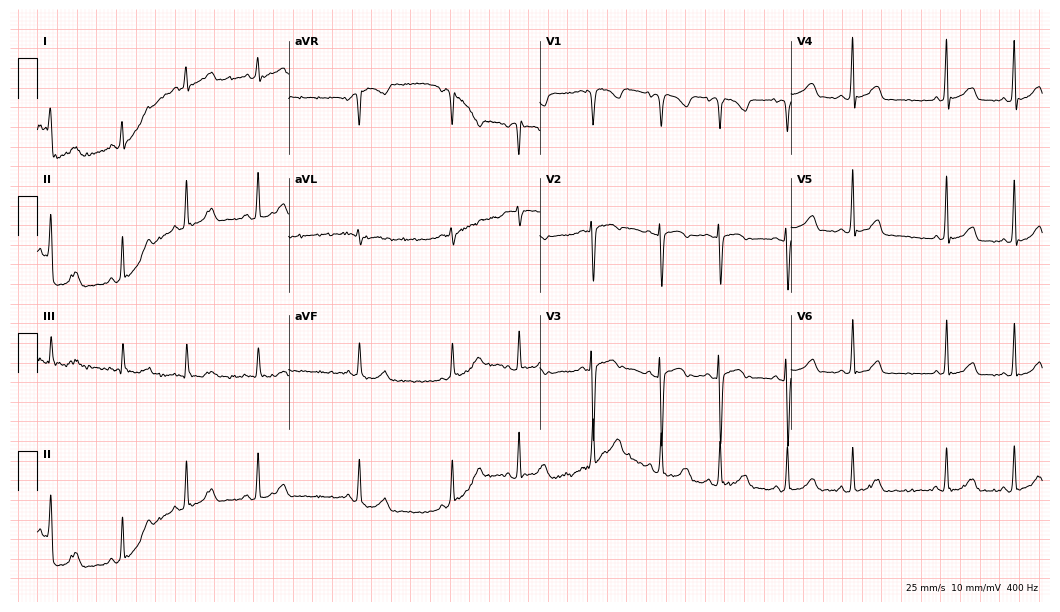
Standard 12-lead ECG recorded from a female patient, 36 years old. Read as a normal ECG.